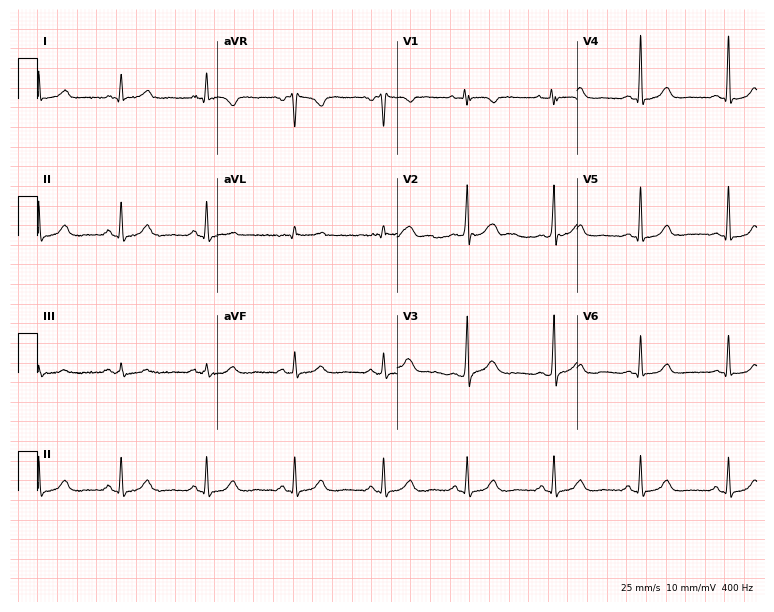
Resting 12-lead electrocardiogram. Patient: a female, 68 years old. None of these six findings is recorded: first-degree AV block, right bundle branch block, left bundle branch block, sinus bradycardia, atrial fibrillation, sinus tachycardia.